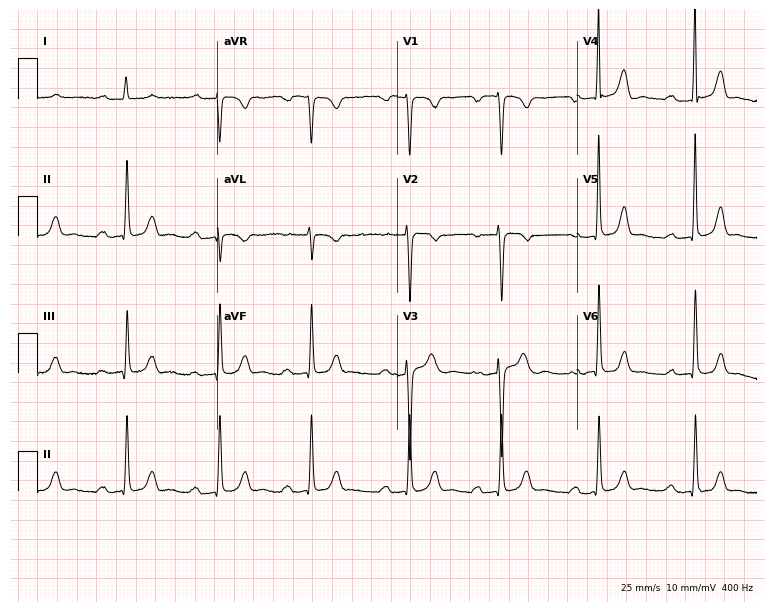
Resting 12-lead electrocardiogram (7.3-second recording at 400 Hz). Patient: a 29-year-old woman. The tracing shows first-degree AV block.